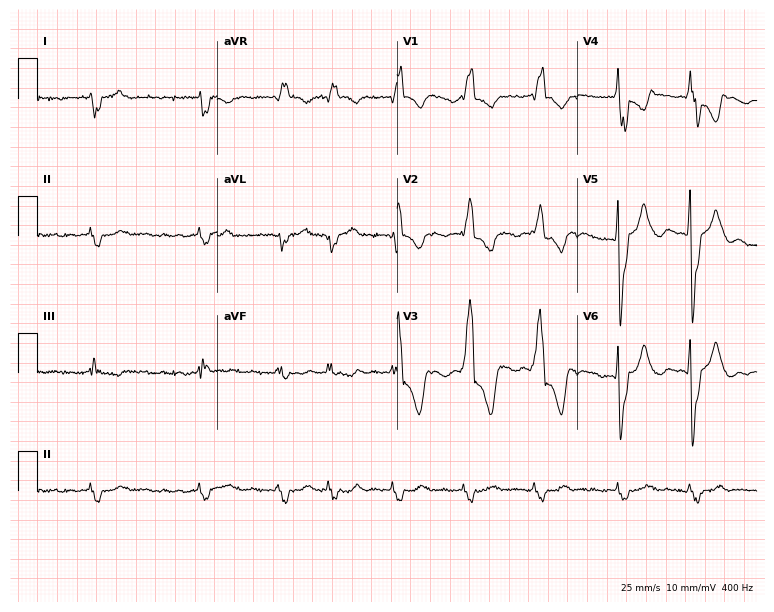
ECG — a male patient, 70 years old. Findings include right bundle branch block (RBBB), atrial fibrillation (AF).